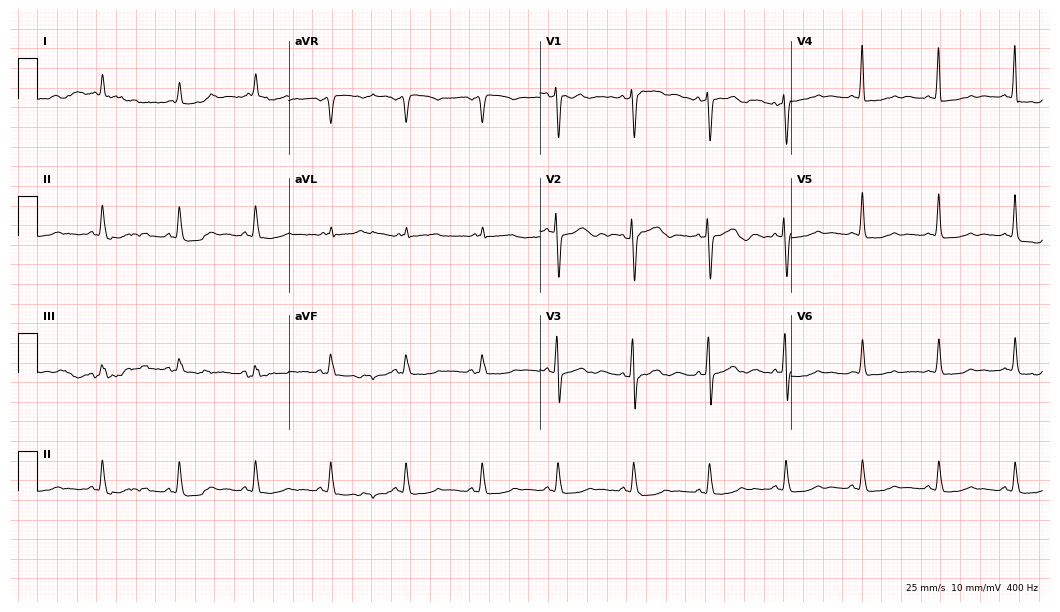
Resting 12-lead electrocardiogram (10.2-second recording at 400 Hz). Patient: a female, 85 years old. None of these six findings is recorded: first-degree AV block, right bundle branch block, left bundle branch block, sinus bradycardia, atrial fibrillation, sinus tachycardia. Findings outside these six are not listed.